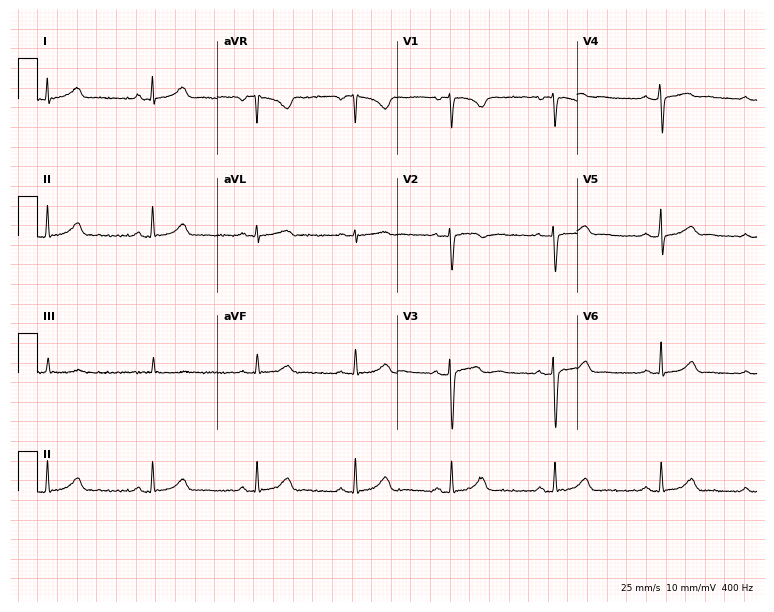
Electrocardiogram (7.3-second recording at 400 Hz), a female, 18 years old. Overall reading on record: normal ECG.